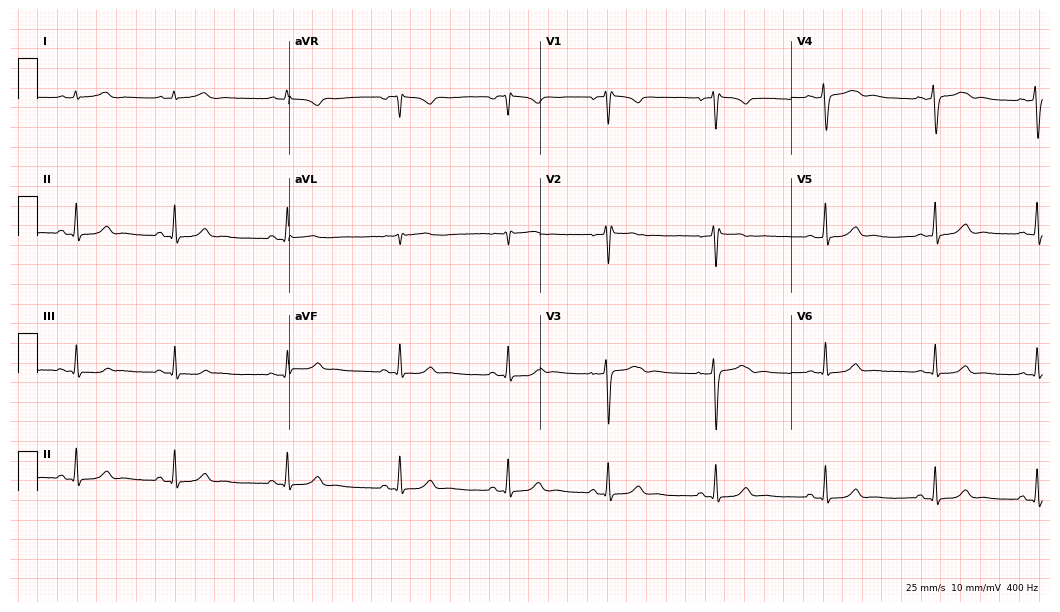
Electrocardiogram, a 31-year-old female patient. Of the six screened findings (first-degree AV block, right bundle branch block, left bundle branch block, sinus bradycardia, atrial fibrillation, sinus tachycardia), none is recorded. Findings outside these six are not listed.